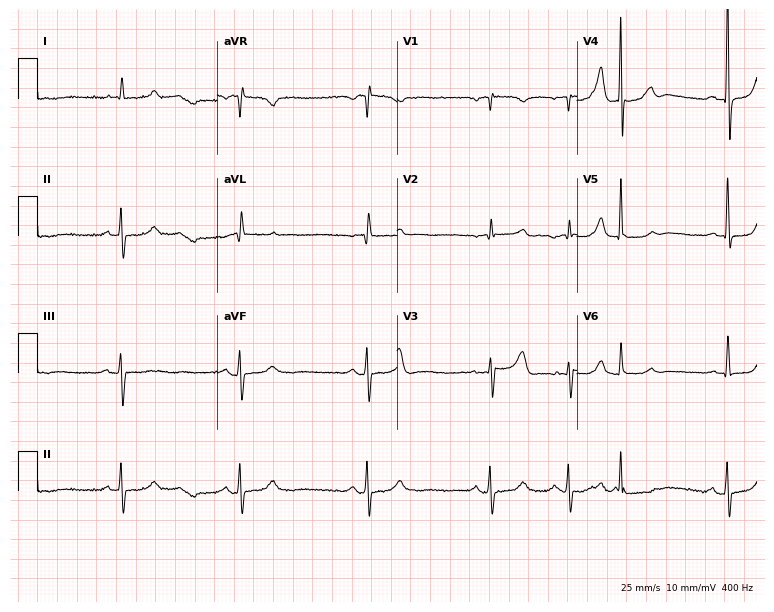
Electrocardiogram, a male patient, 80 years old. Overall reading on record: normal ECG.